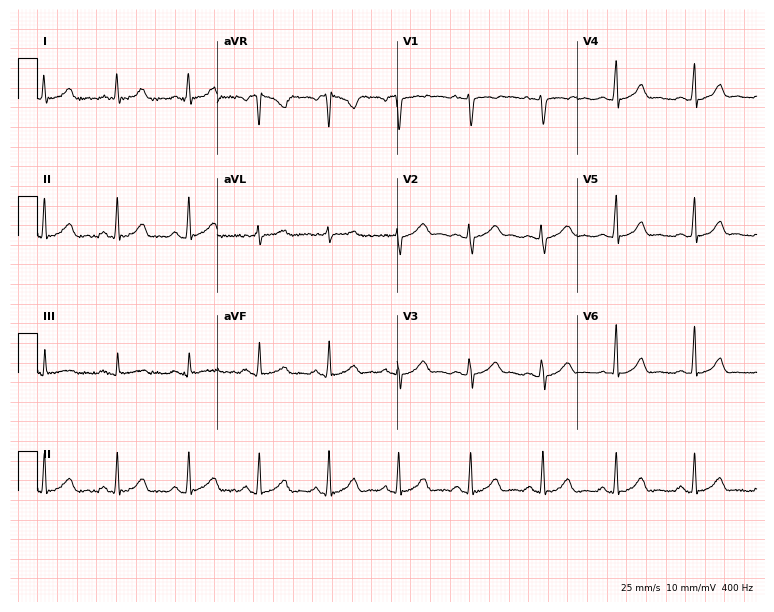
Standard 12-lead ECG recorded from a 30-year-old female patient (7.3-second recording at 400 Hz). Read as a normal ECG.